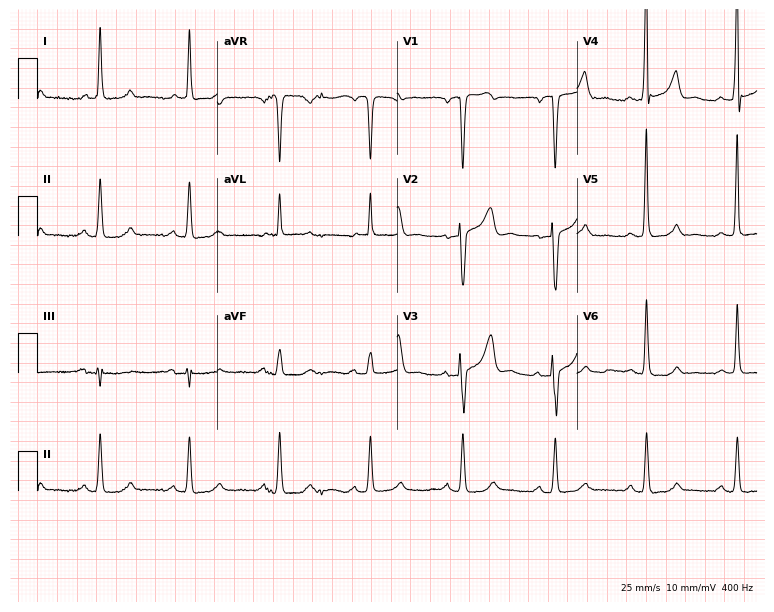
Resting 12-lead electrocardiogram (7.3-second recording at 400 Hz). Patient: a 70-year-old female. None of these six findings is recorded: first-degree AV block, right bundle branch block, left bundle branch block, sinus bradycardia, atrial fibrillation, sinus tachycardia.